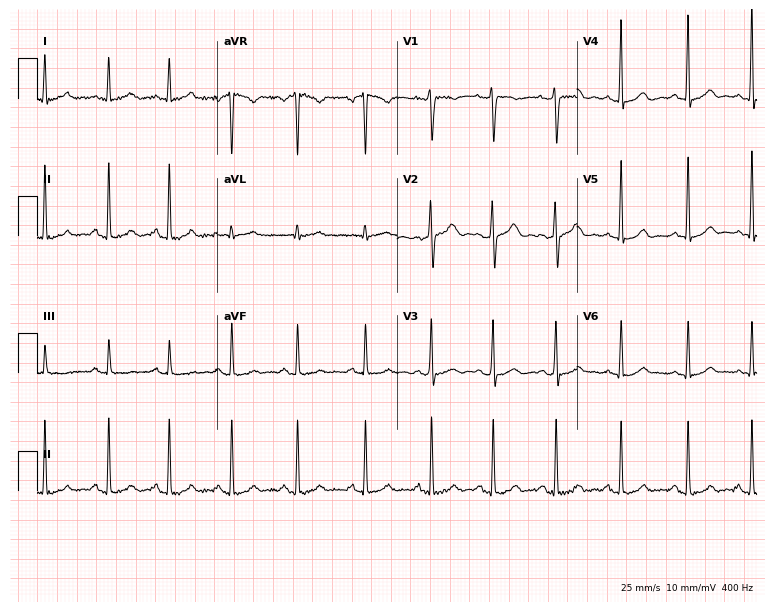
Electrocardiogram, a female, 22 years old. Of the six screened findings (first-degree AV block, right bundle branch block (RBBB), left bundle branch block (LBBB), sinus bradycardia, atrial fibrillation (AF), sinus tachycardia), none is recorded.